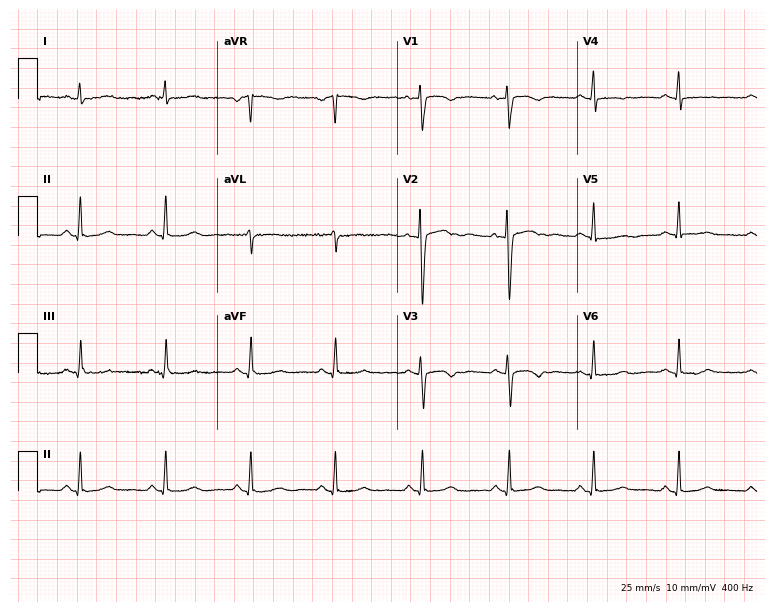
12-lead ECG from a 49-year-old female. No first-degree AV block, right bundle branch block, left bundle branch block, sinus bradycardia, atrial fibrillation or sinus tachycardia recorded for this tracing. Findings outside these six are not listed.